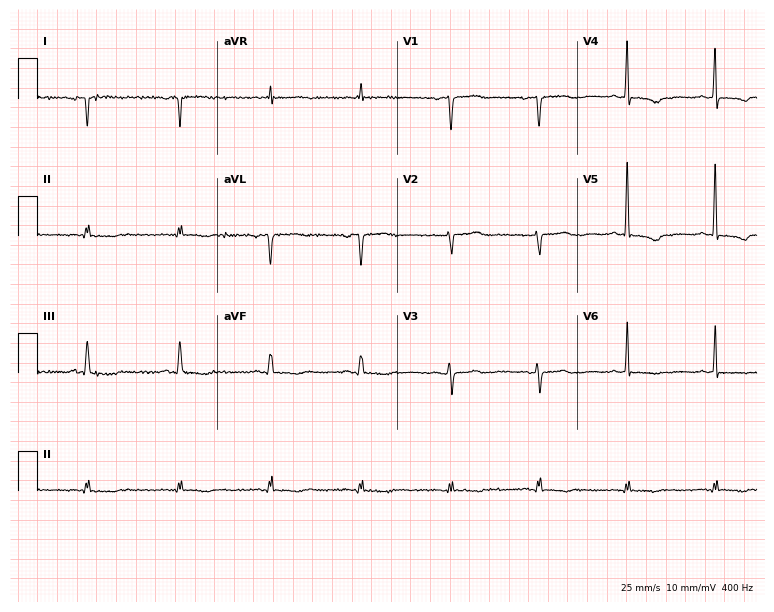
Standard 12-lead ECG recorded from a female patient, 60 years old (7.3-second recording at 400 Hz). None of these six findings is recorded: first-degree AV block, right bundle branch block (RBBB), left bundle branch block (LBBB), sinus bradycardia, atrial fibrillation (AF), sinus tachycardia. Other findings, if any, are not listed.